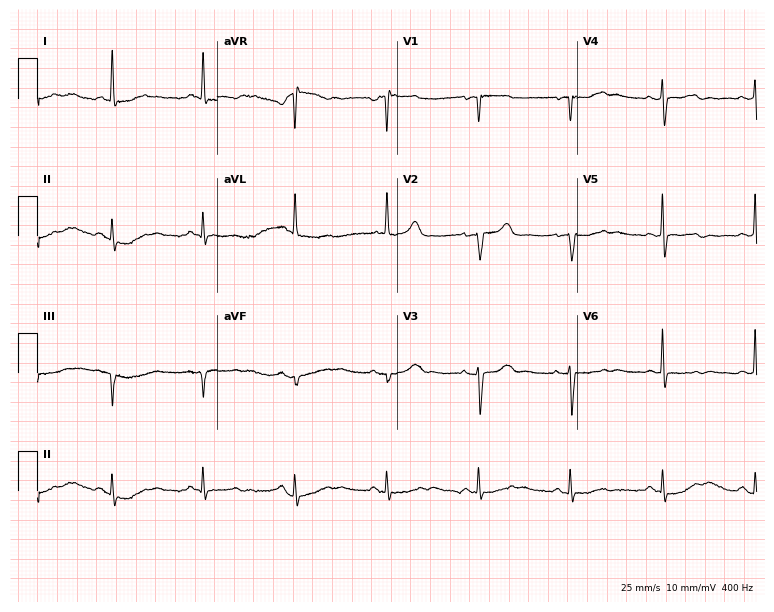
12-lead ECG from a woman, 78 years old. Labelled as a normal ECG.